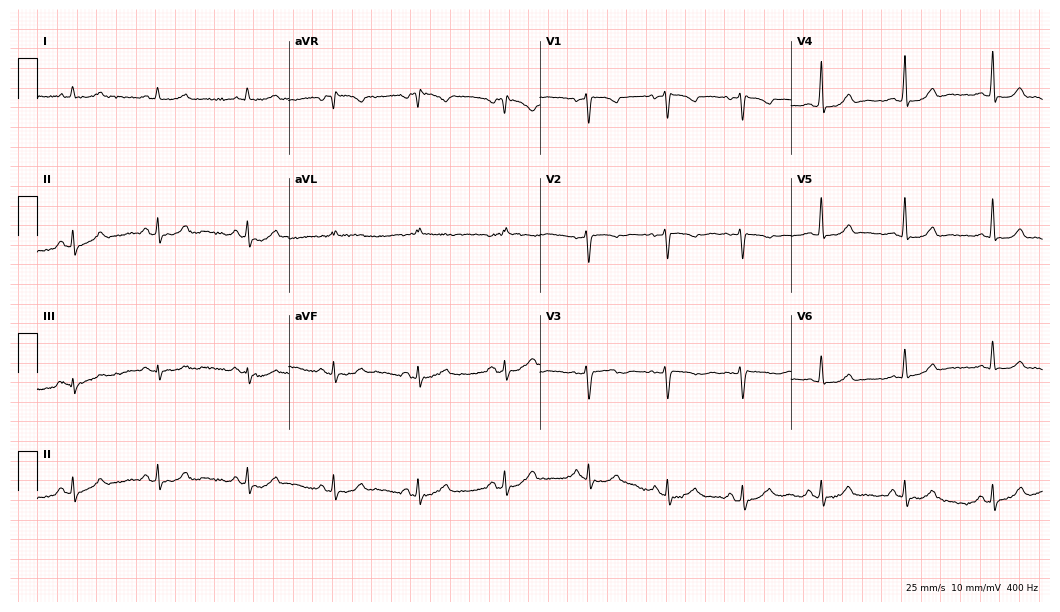
12-lead ECG (10.2-second recording at 400 Hz) from a 48-year-old woman. Screened for six findings — first-degree AV block, right bundle branch block, left bundle branch block, sinus bradycardia, atrial fibrillation, sinus tachycardia — none is recorded.